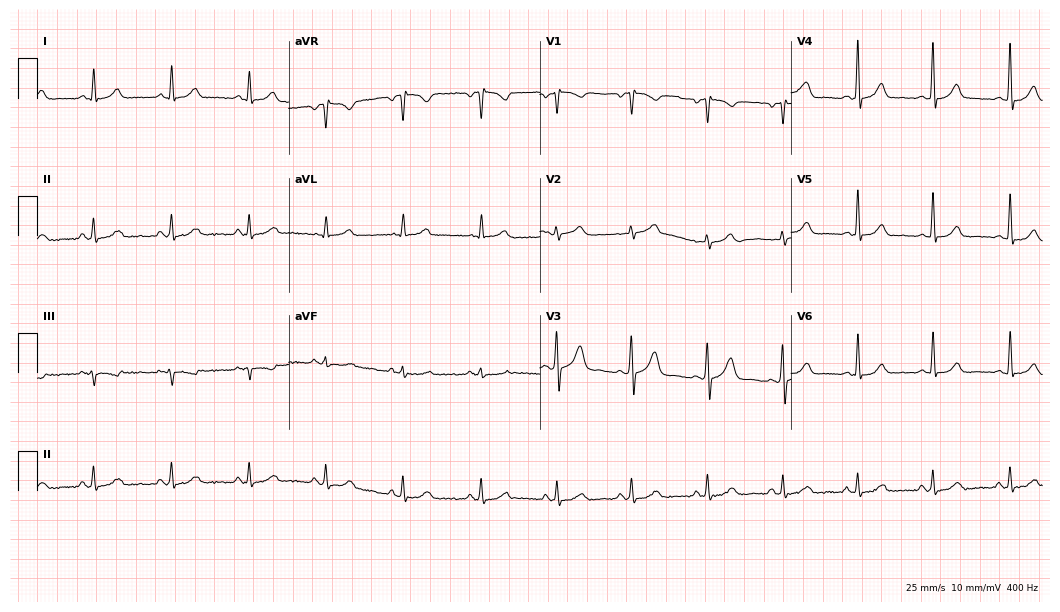
Electrocardiogram (10.2-second recording at 400 Hz), a female patient, 36 years old. Overall reading on record: normal ECG.